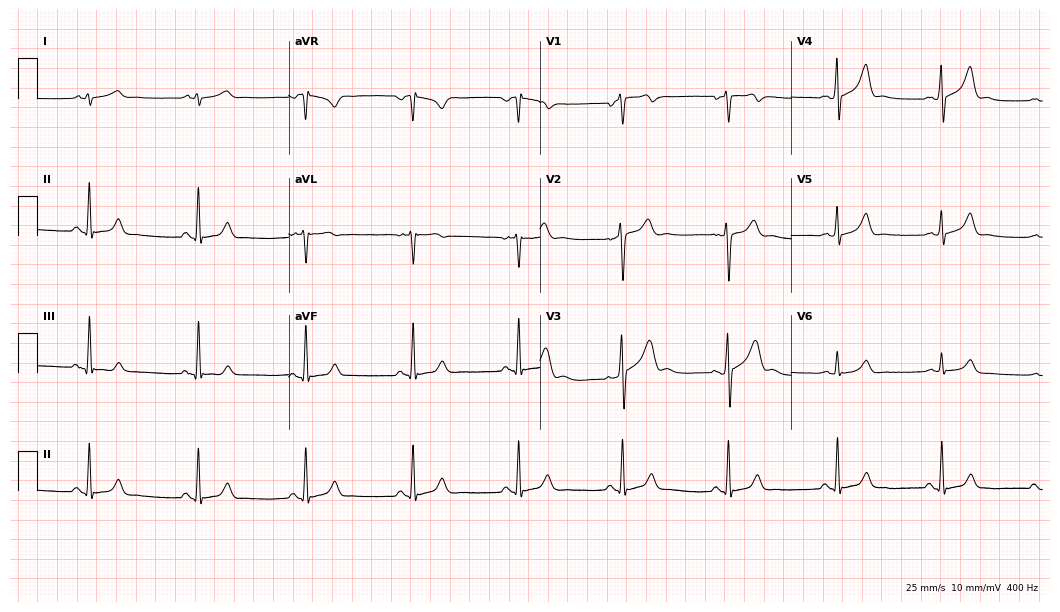
12-lead ECG from a man, 35 years old. No first-degree AV block, right bundle branch block (RBBB), left bundle branch block (LBBB), sinus bradycardia, atrial fibrillation (AF) or sinus tachycardia recorded for this tracing.